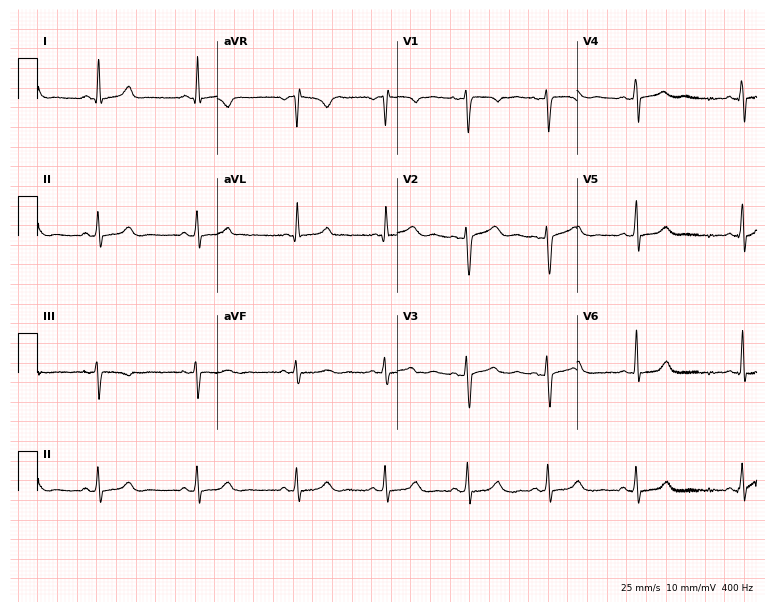
12-lead ECG from a 21-year-old woman (7.3-second recording at 400 Hz). No first-degree AV block, right bundle branch block, left bundle branch block, sinus bradycardia, atrial fibrillation or sinus tachycardia recorded for this tracing.